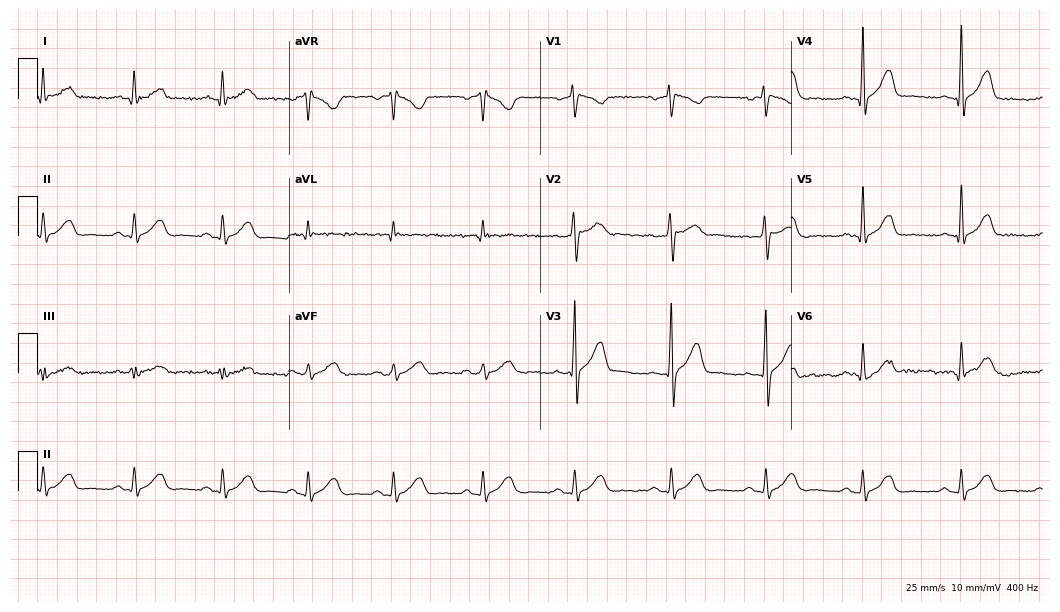
12-lead ECG from a male patient, 55 years old (10.2-second recording at 400 Hz). Recorded interpretation: within normal limits.